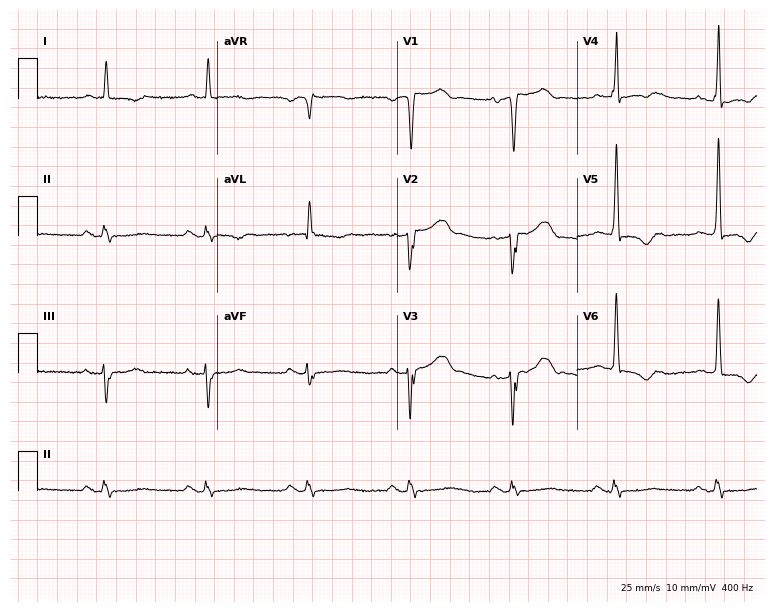
Resting 12-lead electrocardiogram (7.3-second recording at 400 Hz). Patient: a 67-year-old woman. None of these six findings is recorded: first-degree AV block, right bundle branch block, left bundle branch block, sinus bradycardia, atrial fibrillation, sinus tachycardia. Only these six findings were labelled.